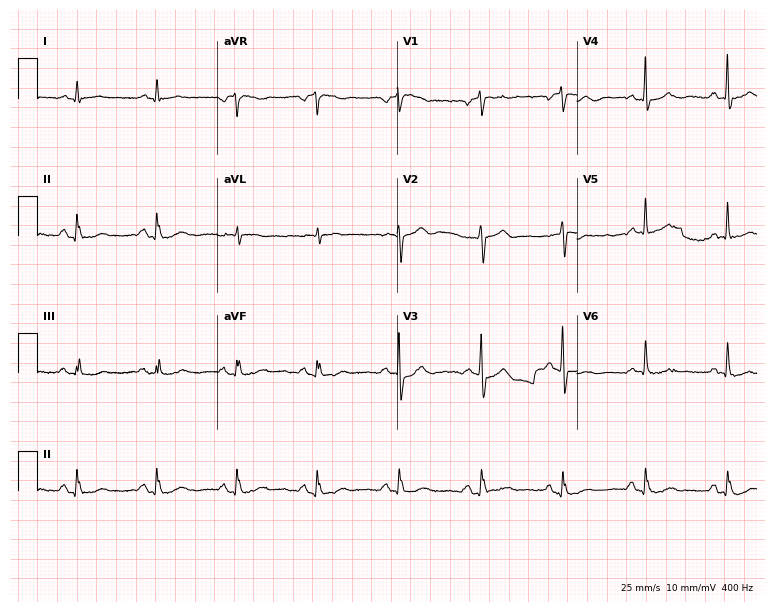
ECG (7.3-second recording at 400 Hz) — a male patient, 79 years old. Labelled as a normal ECG.